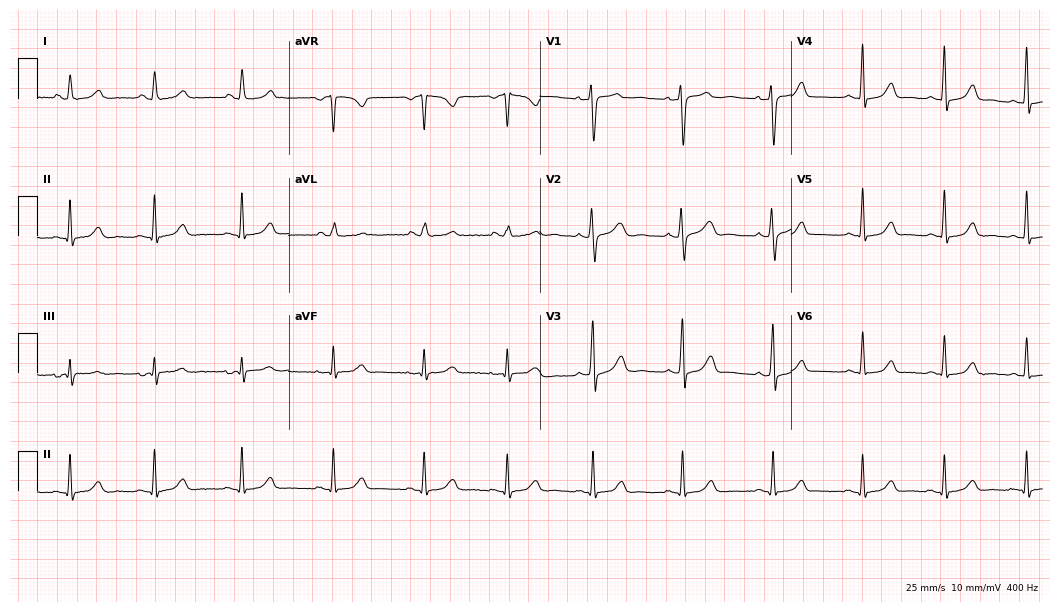
12-lead ECG (10.2-second recording at 400 Hz) from a 35-year-old female. Labelled as a normal ECG.